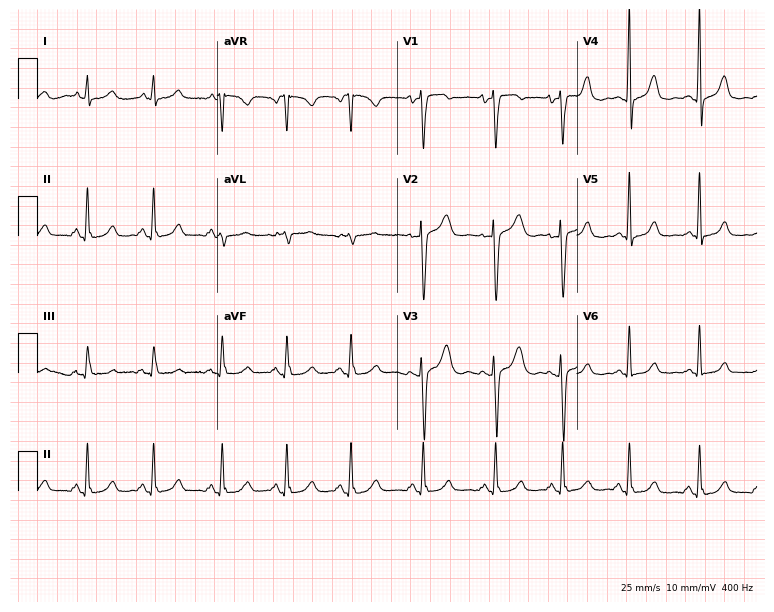
Standard 12-lead ECG recorded from a 41-year-old female (7.3-second recording at 400 Hz). None of these six findings is recorded: first-degree AV block, right bundle branch block, left bundle branch block, sinus bradycardia, atrial fibrillation, sinus tachycardia.